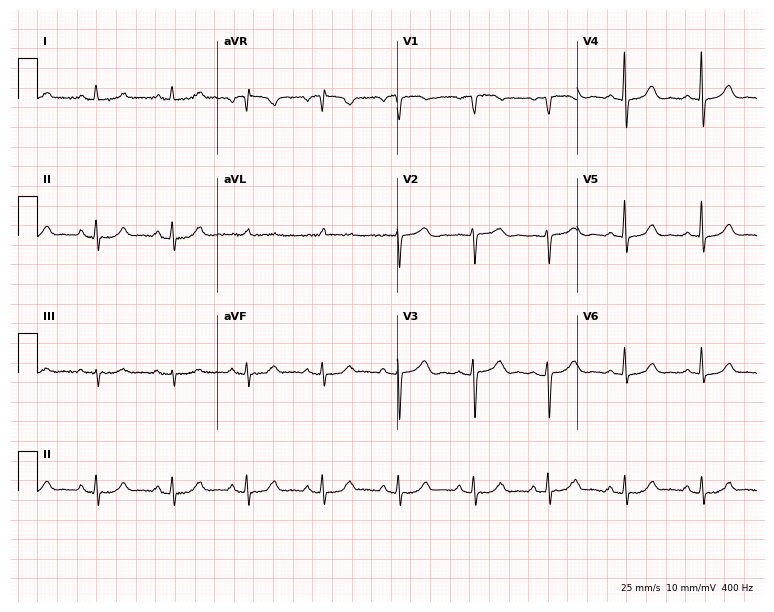
Resting 12-lead electrocardiogram (7.3-second recording at 400 Hz). Patient: a female, 72 years old. None of these six findings is recorded: first-degree AV block, right bundle branch block (RBBB), left bundle branch block (LBBB), sinus bradycardia, atrial fibrillation (AF), sinus tachycardia. Other findings, if any, are not listed.